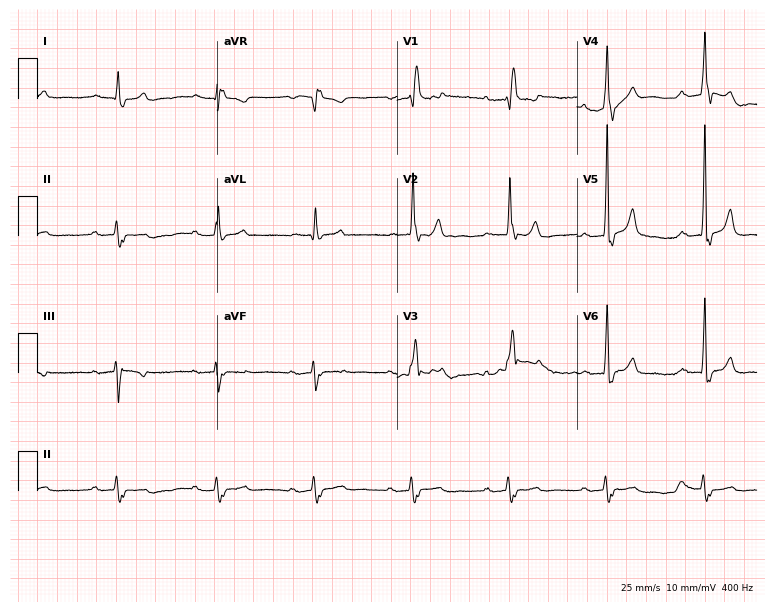
Resting 12-lead electrocardiogram (7.3-second recording at 400 Hz). Patient: an 85-year-old man. The tracing shows first-degree AV block, right bundle branch block.